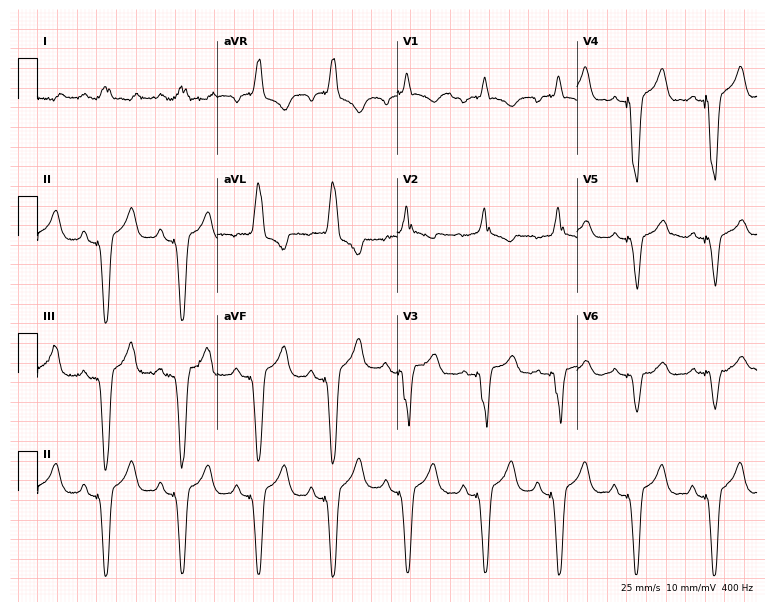
Standard 12-lead ECG recorded from a 77-year-old female. None of these six findings is recorded: first-degree AV block, right bundle branch block (RBBB), left bundle branch block (LBBB), sinus bradycardia, atrial fibrillation (AF), sinus tachycardia.